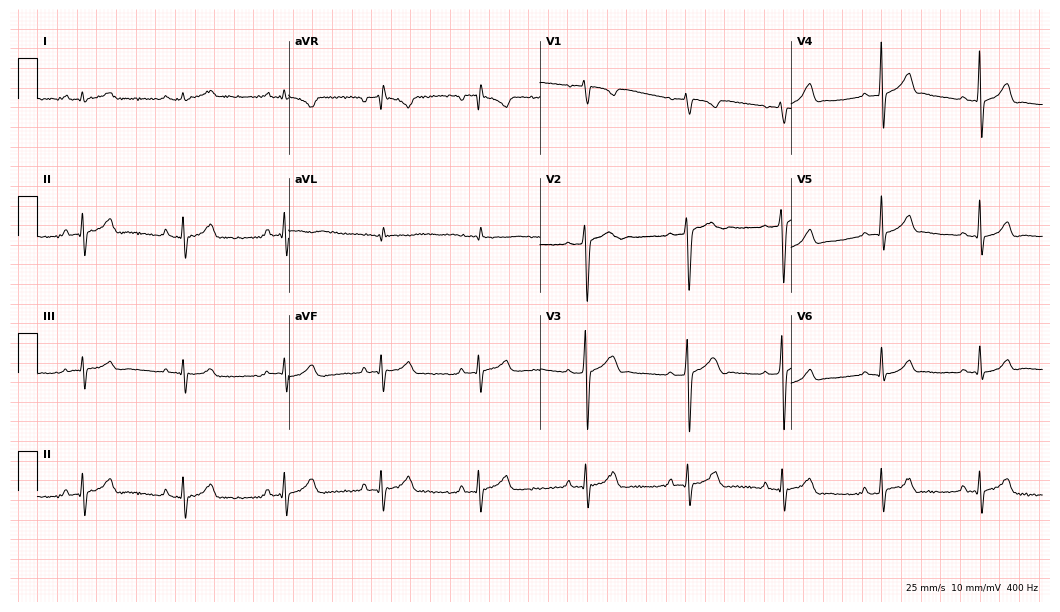
Resting 12-lead electrocardiogram. Patient: a male, 19 years old. Read as a normal ECG.